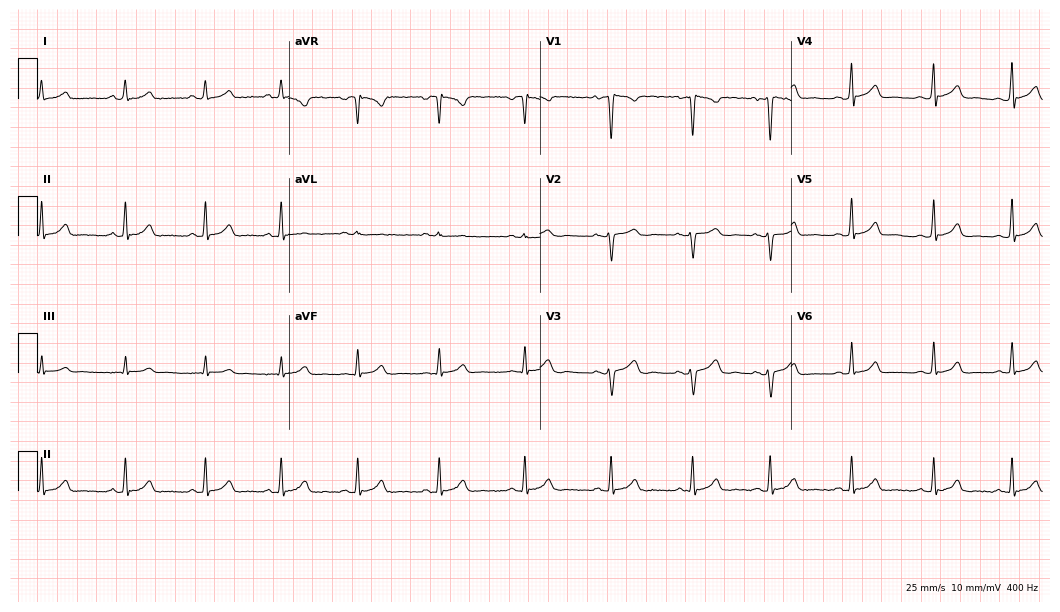
12-lead ECG from a 23-year-old female. Screened for six findings — first-degree AV block, right bundle branch block (RBBB), left bundle branch block (LBBB), sinus bradycardia, atrial fibrillation (AF), sinus tachycardia — none is recorded. Only these six findings were labelled.